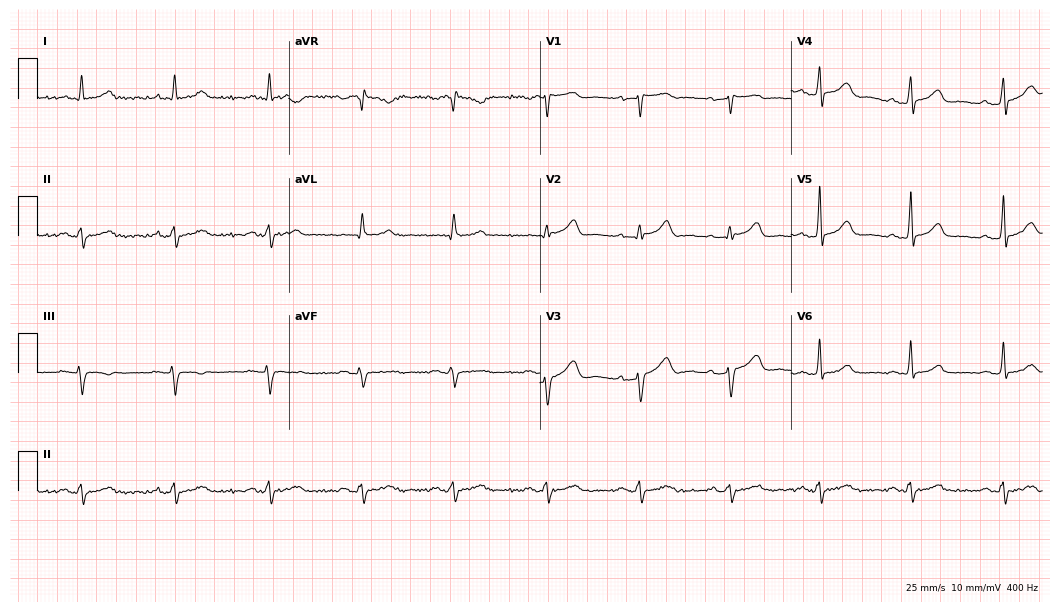
Electrocardiogram, a 59-year-old male. Of the six screened findings (first-degree AV block, right bundle branch block, left bundle branch block, sinus bradycardia, atrial fibrillation, sinus tachycardia), none is recorded.